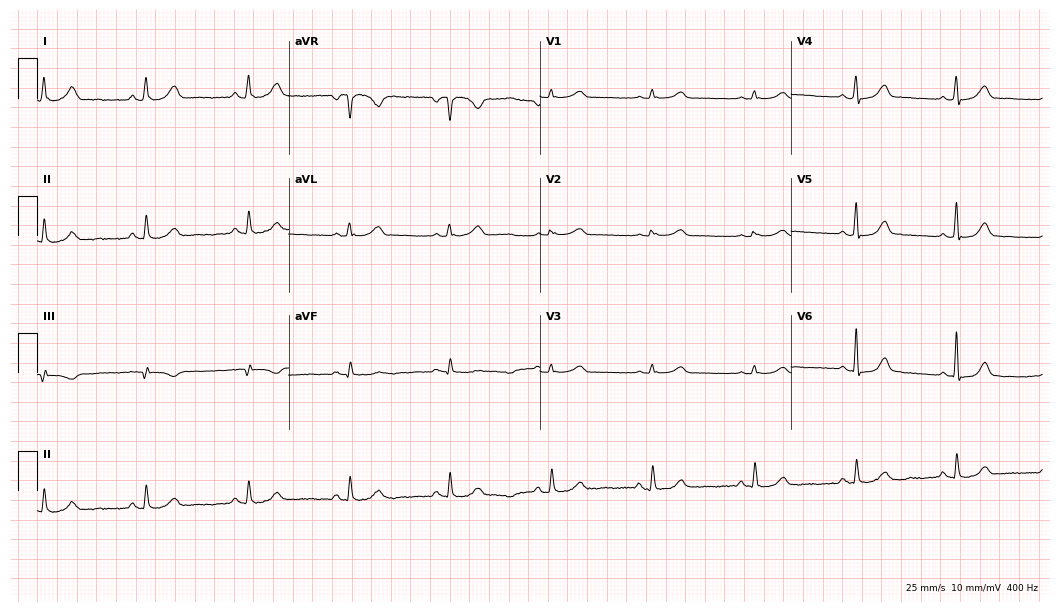
Electrocardiogram (10.2-second recording at 400 Hz), a 68-year-old female. Overall reading on record: normal ECG.